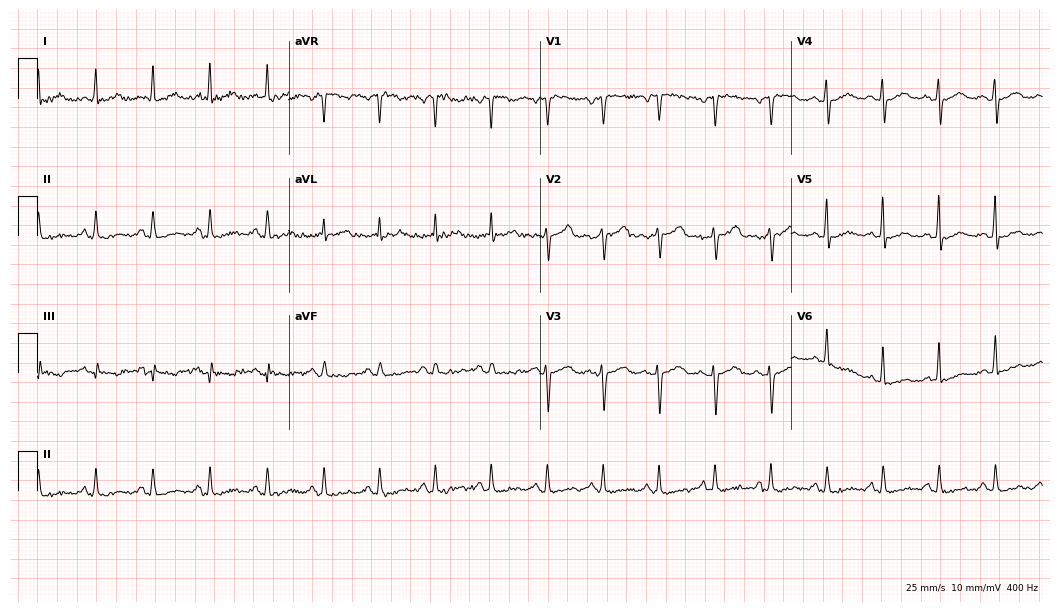
Resting 12-lead electrocardiogram. Patient: a 49-year-old female. The tracing shows sinus tachycardia (a sinus rate of 100 beats per minute or more).